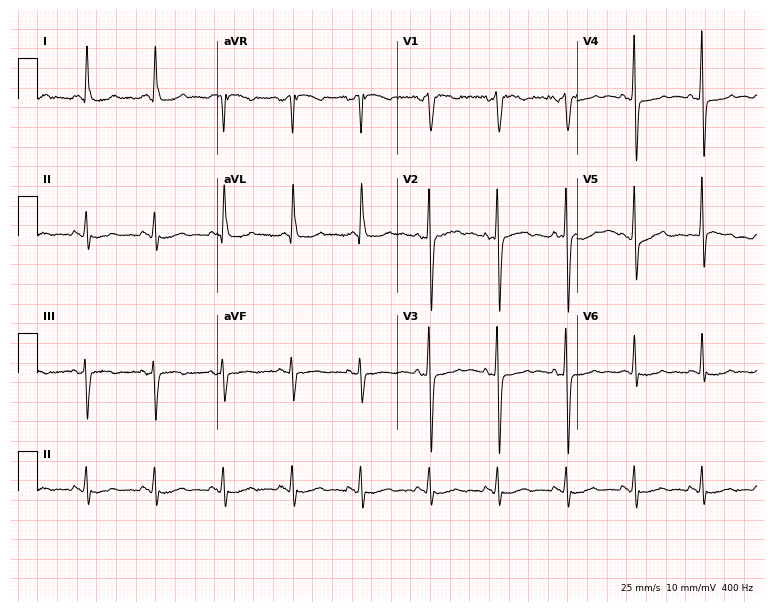
12-lead ECG (7.3-second recording at 400 Hz) from a 62-year-old woman. Screened for six findings — first-degree AV block, right bundle branch block, left bundle branch block, sinus bradycardia, atrial fibrillation, sinus tachycardia — none is recorded. Only these six findings were labelled.